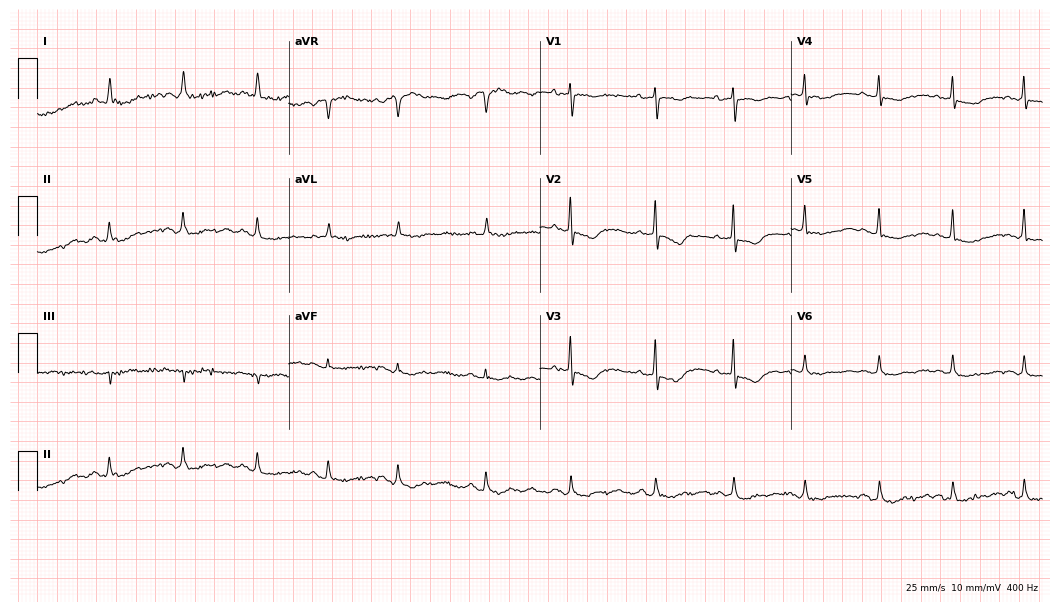
ECG (10.2-second recording at 400 Hz) — a 72-year-old female. Screened for six findings — first-degree AV block, right bundle branch block, left bundle branch block, sinus bradycardia, atrial fibrillation, sinus tachycardia — none is recorded. Other findings, if any, are not listed.